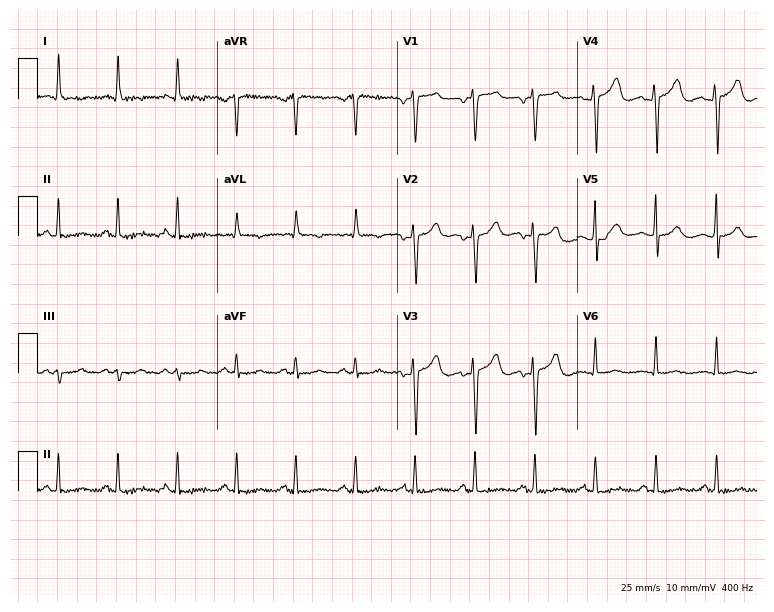
ECG (7.3-second recording at 400 Hz) — a 47-year-old woman. Screened for six findings — first-degree AV block, right bundle branch block, left bundle branch block, sinus bradycardia, atrial fibrillation, sinus tachycardia — none is recorded.